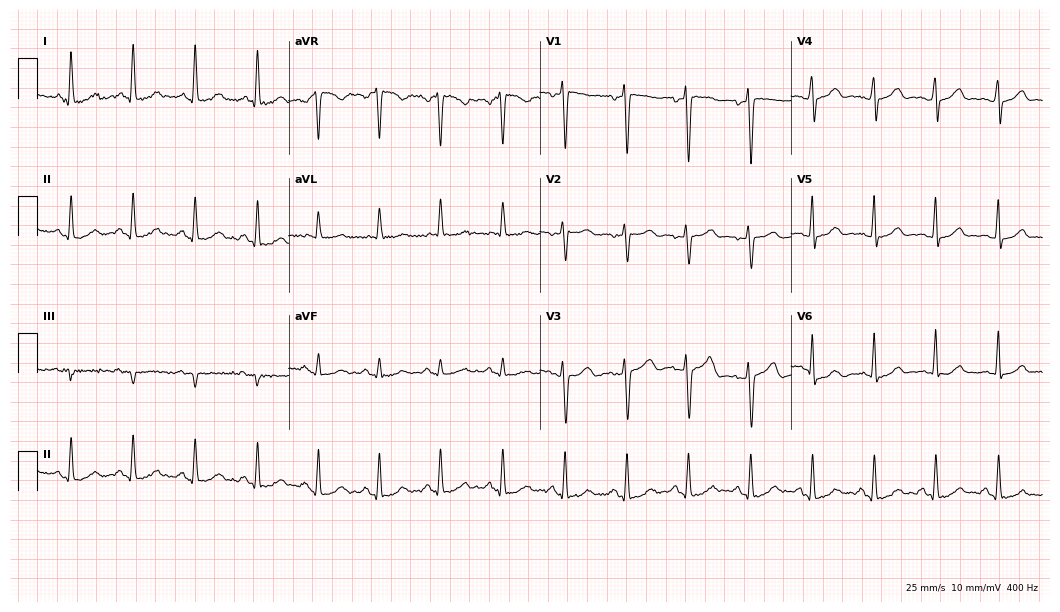
Standard 12-lead ECG recorded from a female, 32 years old. Read as a normal ECG.